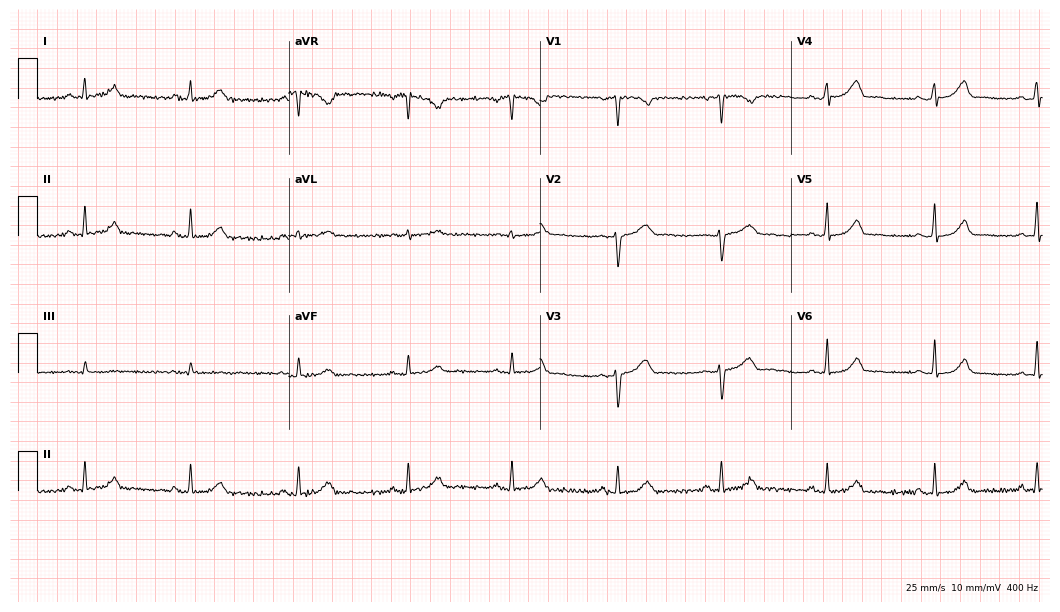
12-lead ECG from a female, 31 years old (10.2-second recording at 400 Hz). No first-degree AV block, right bundle branch block (RBBB), left bundle branch block (LBBB), sinus bradycardia, atrial fibrillation (AF) or sinus tachycardia recorded for this tracing. Other findings, if any, are not listed.